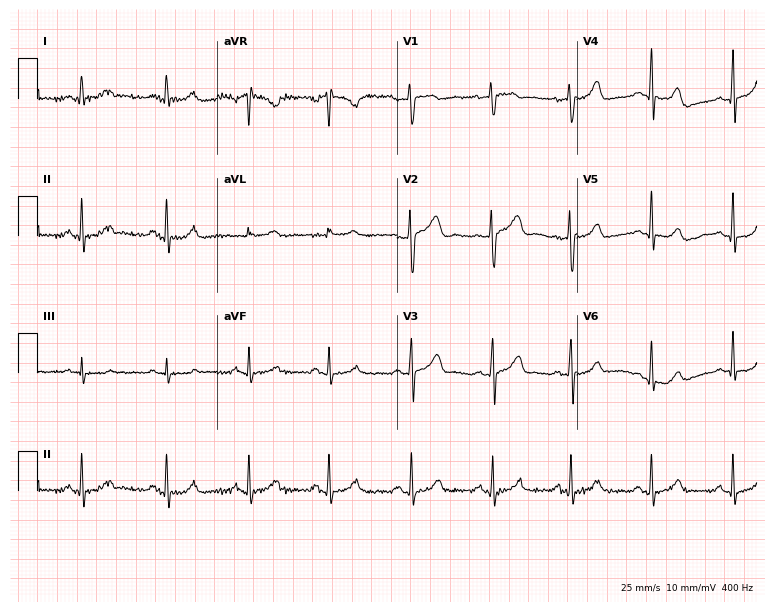
12-lead ECG (7.3-second recording at 400 Hz) from a woman, 22 years old. Screened for six findings — first-degree AV block, right bundle branch block, left bundle branch block, sinus bradycardia, atrial fibrillation, sinus tachycardia — none is recorded. Other findings, if any, are not listed.